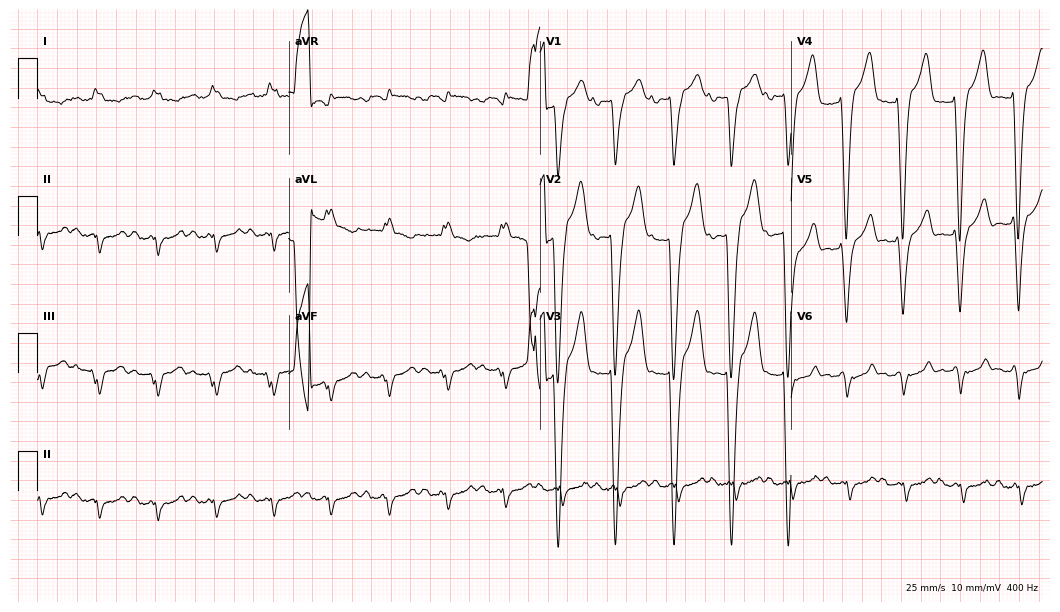
12-lead ECG from a 59-year-old male patient (10.2-second recording at 400 Hz). No first-degree AV block, right bundle branch block (RBBB), left bundle branch block (LBBB), sinus bradycardia, atrial fibrillation (AF) or sinus tachycardia recorded for this tracing.